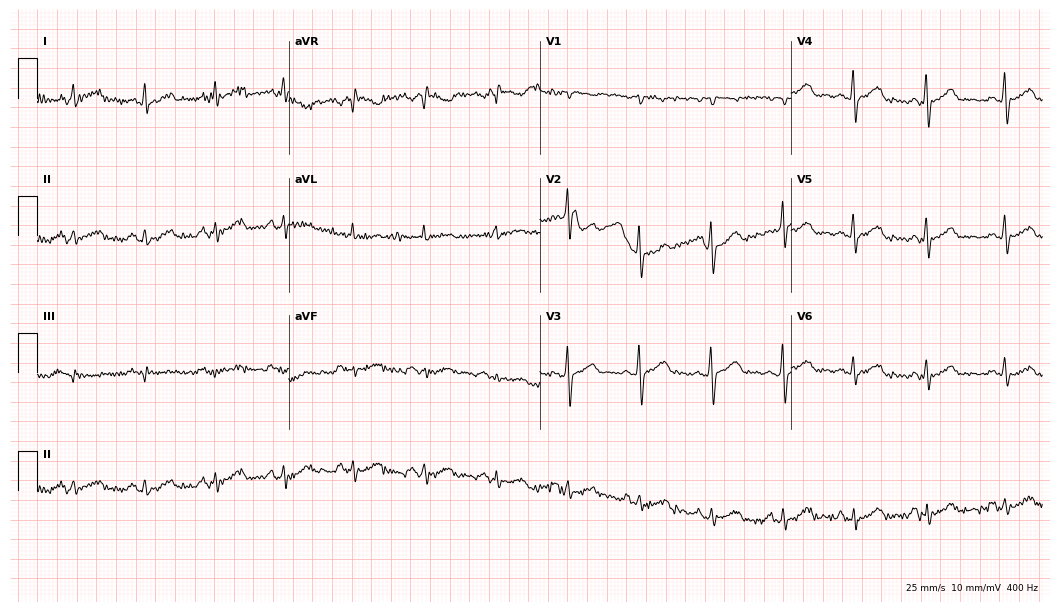
ECG (10.2-second recording at 400 Hz) — a 47-year-old woman. Screened for six findings — first-degree AV block, right bundle branch block (RBBB), left bundle branch block (LBBB), sinus bradycardia, atrial fibrillation (AF), sinus tachycardia — none is recorded. Only these six findings were labelled.